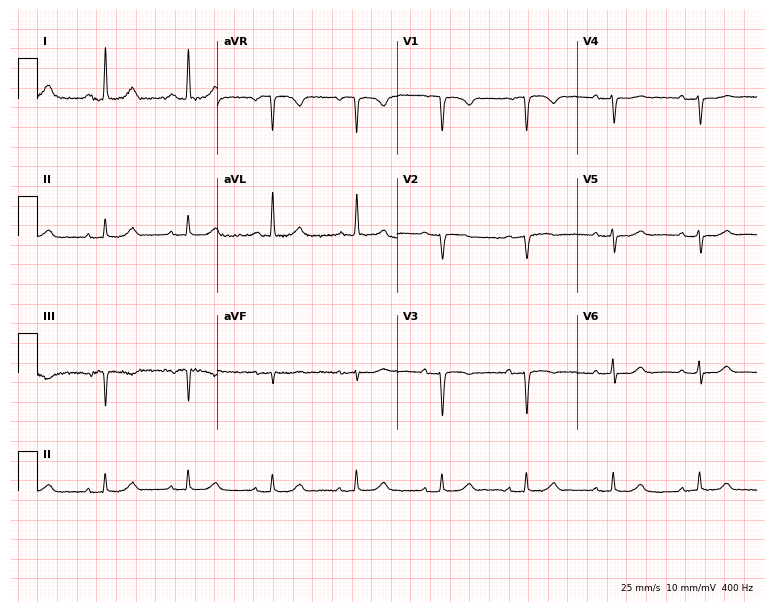
Electrocardiogram, an 83-year-old woman. Of the six screened findings (first-degree AV block, right bundle branch block (RBBB), left bundle branch block (LBBB), sinus bradycardia, atrial fibrillation (AF), sinus tachycardia), none is recorded.